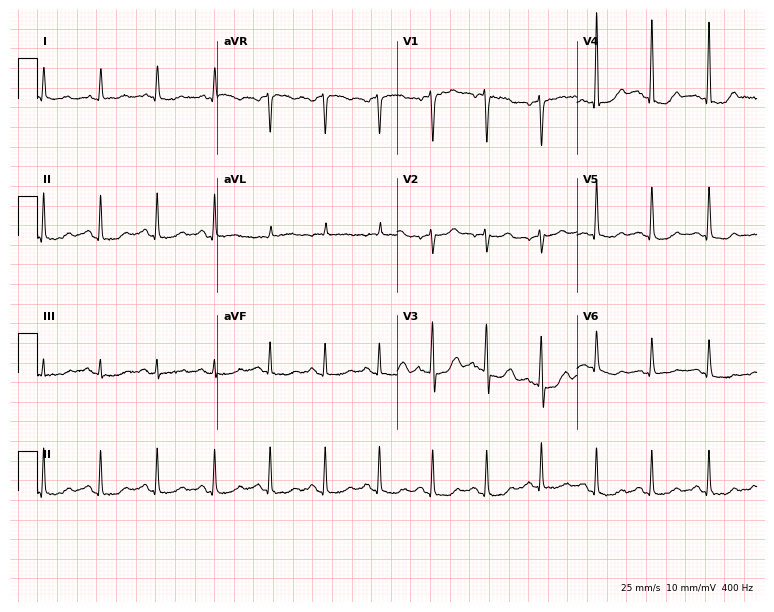
12-lead ECG (7.3-second recording at 400 Hz) from a 67-year-old male patient. Screened for six findings — first-degree AV block, right bundle branch block, left bundle branch block, sinus bradycardia, atrial fibrillation, sinus tachycardia — none is recorded. Findings outside these six are not listed.